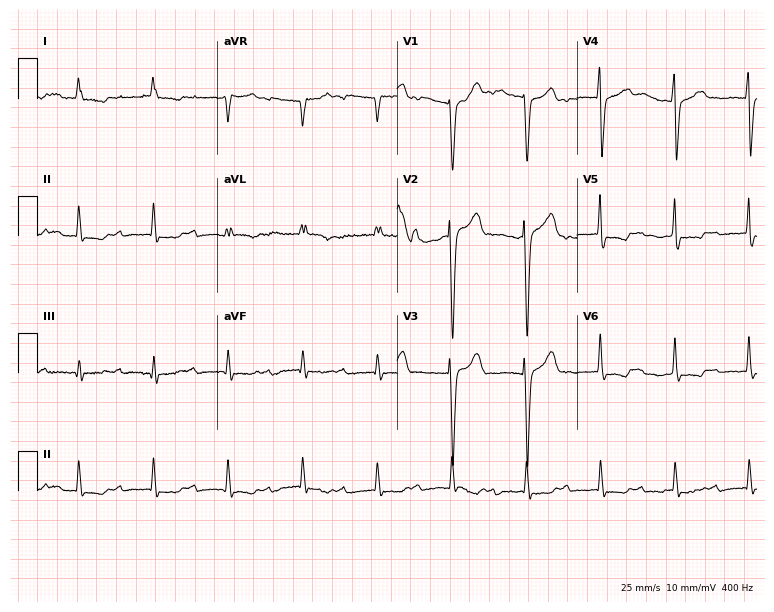
Electrocardiogram (7.3-second recording at 400 Hz), a 73-year-old male. Interpretation includes first-degree AV block.